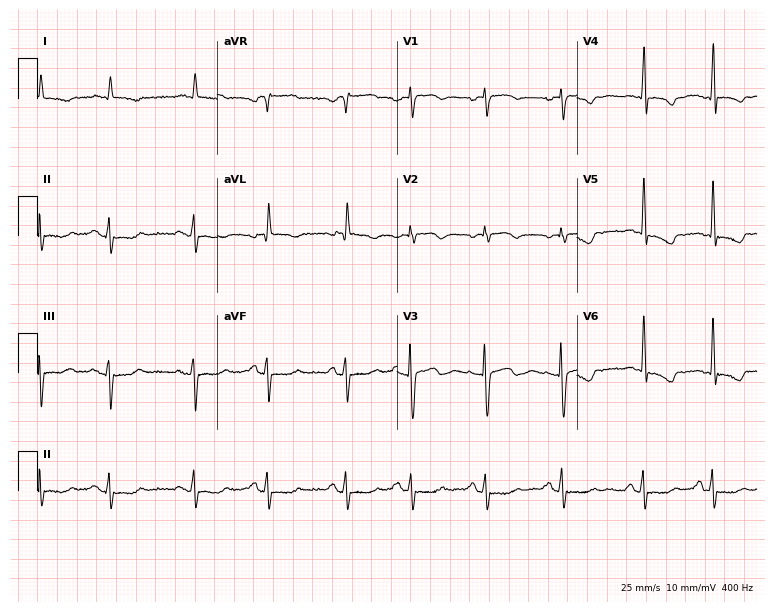
Standard 12-lead ECG recorded from a female, 34 years old (7.3-second recording at 400 Hz). None of these six findings is recorded: first-degree AV block, right bundle branch block, left bundle branch block, sinus bradycardia, atrial fibrillation, sinus tachycardia. Findings outside these six are not listed.